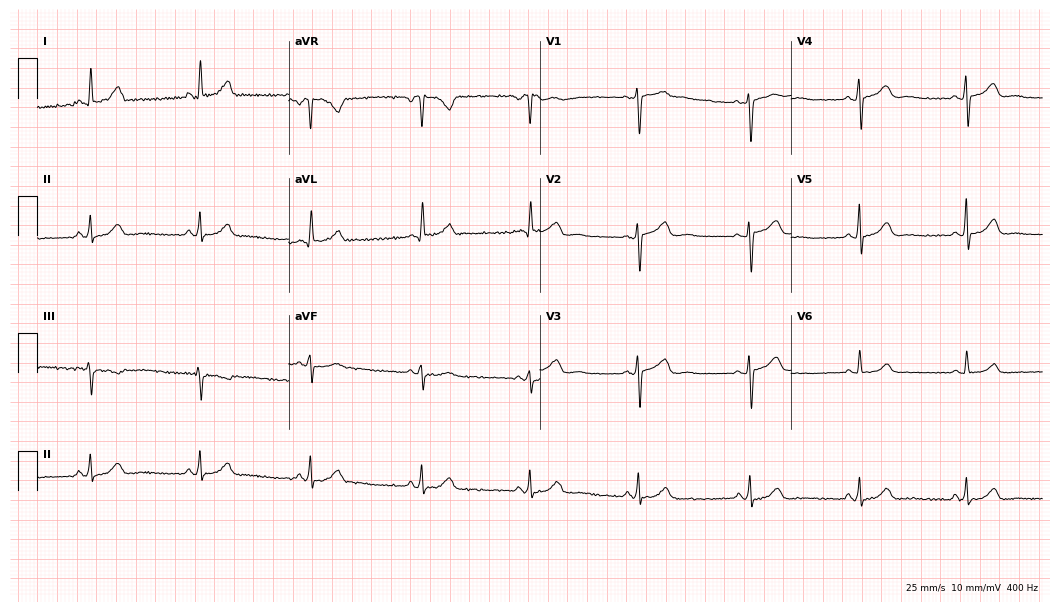
Resting 12-lead electrocardiogram. Patient: a 37-year-old female. Read as a normal ECG.